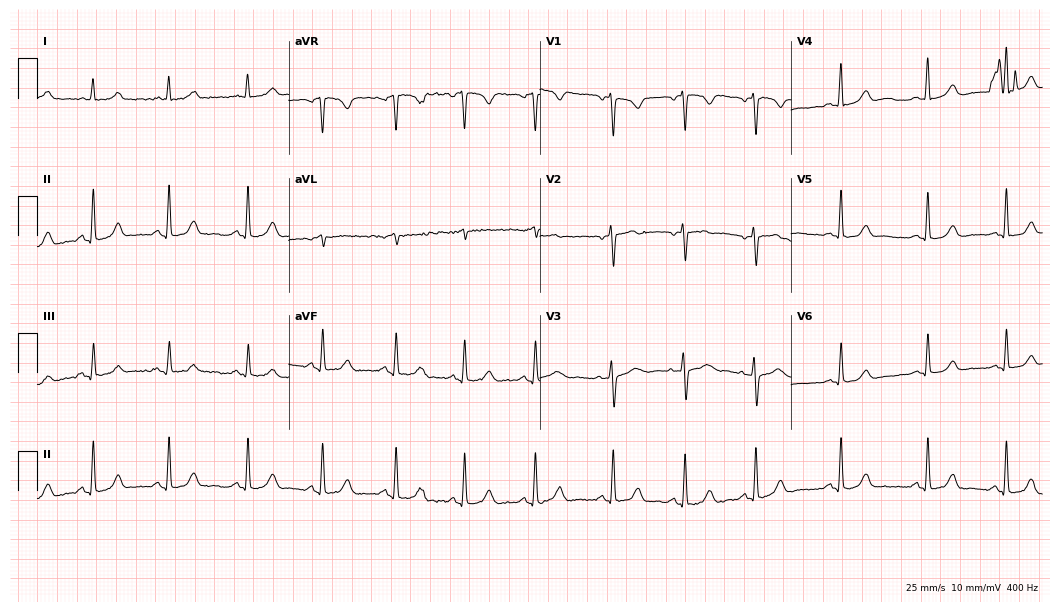
Electrocardiogram, a female, 24 years old. Overall reading on record: normal ECG.